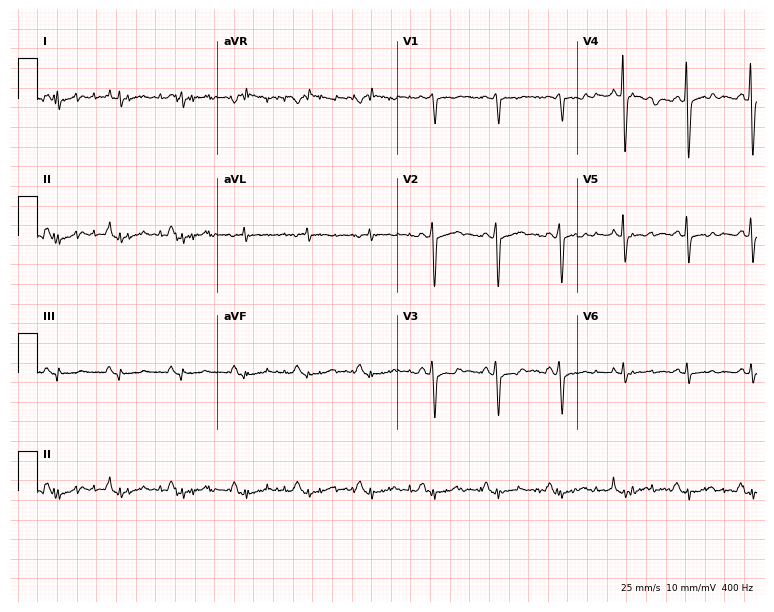
Resting 12-lead electrocardiogram (7.3-second recording at 400 Hz). Patient: a man, 65 years old. None of these six findings is recorded: first-degree AV block, right bundle branch block, left bundle branch block, sinus bradycardia, atrial fibrillation, sinus tachycardia. Only these six findings were labelled.